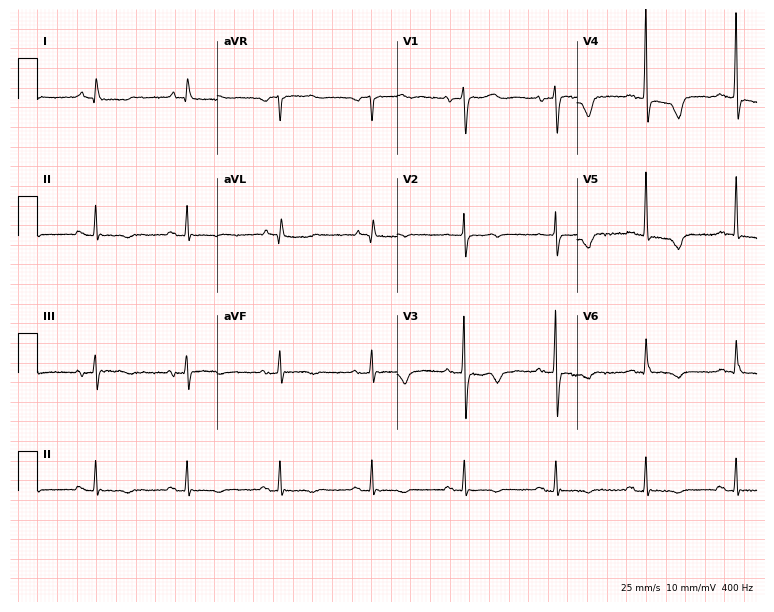
Resting 12-lead electrocardiogram (7.3-second recording at 400 Hz). Patient: a 62-year-old female. None of these six findings is recorded: first-degree AV block, right bundle branch block, left bundle branch block, sinus bradycardia, atrial fibrillation, sinus tachycardia.